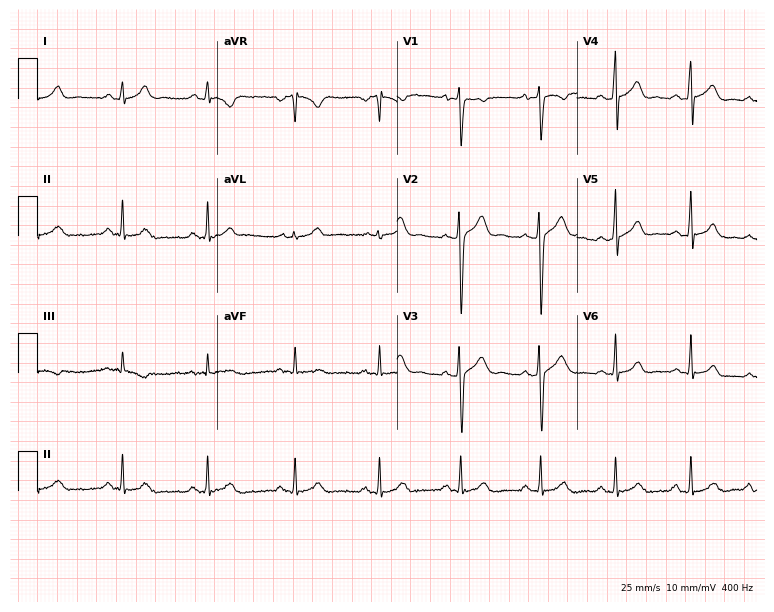
ECG — a 25-year-old male. Labelled as a normal ECG.